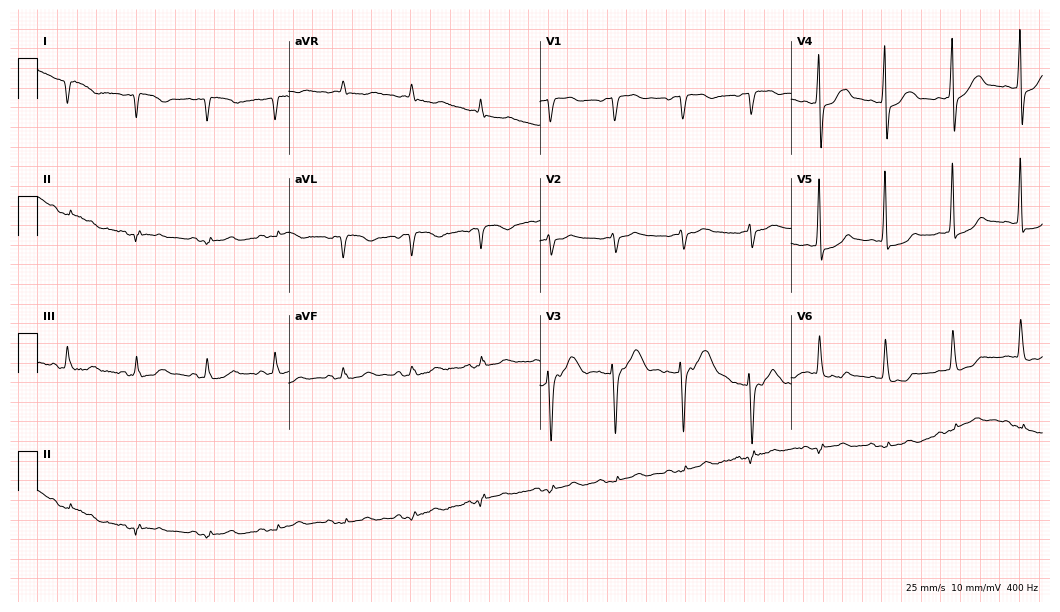
Electrocardiogram, a 77-year-old female. Of the six screened findings (first-degree AV block, right bundle branch block (RBBB), left bundle branch block (LBBB), sinus bradycardia, atrial fibrillation (AF), sinus tachycardia), none is recorded. Only these six findings were labelled.